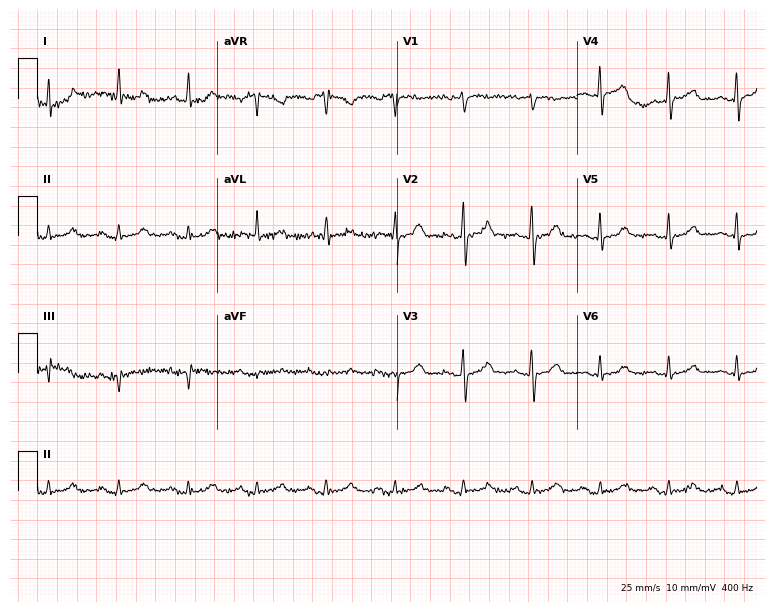
12-lead ECG from a female, 67 years old. Labelled as a normal ECG.